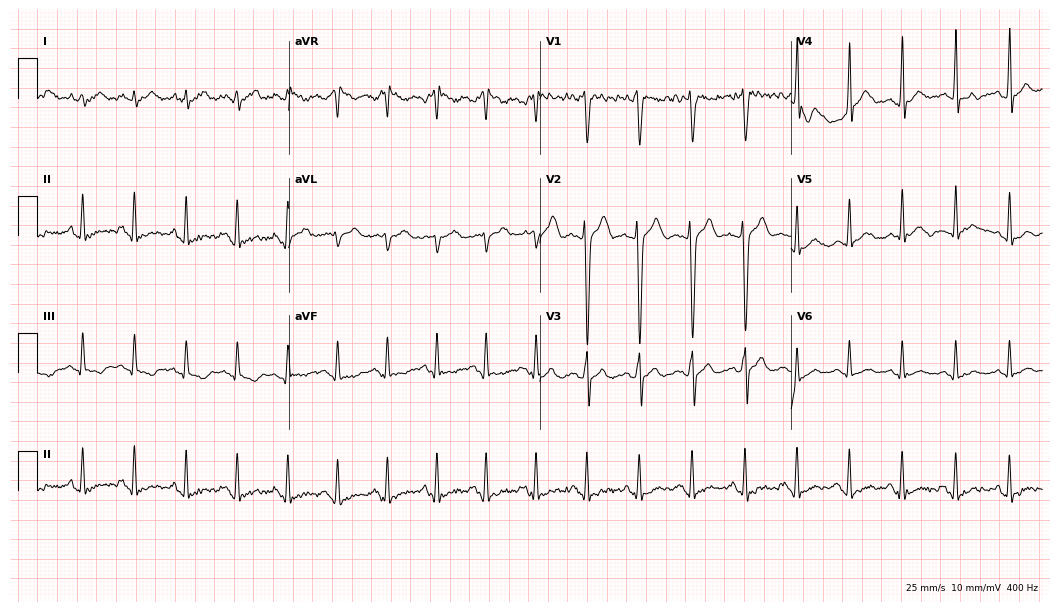
12-lead ECG from a 26-year-old male patient. No first-degree AV block, right bundle branch block, left bundle branch block, sinus bradycardia, atrial fibrillation or sinus tachycardia recorded for this tracing. Only these six findings were labelled.